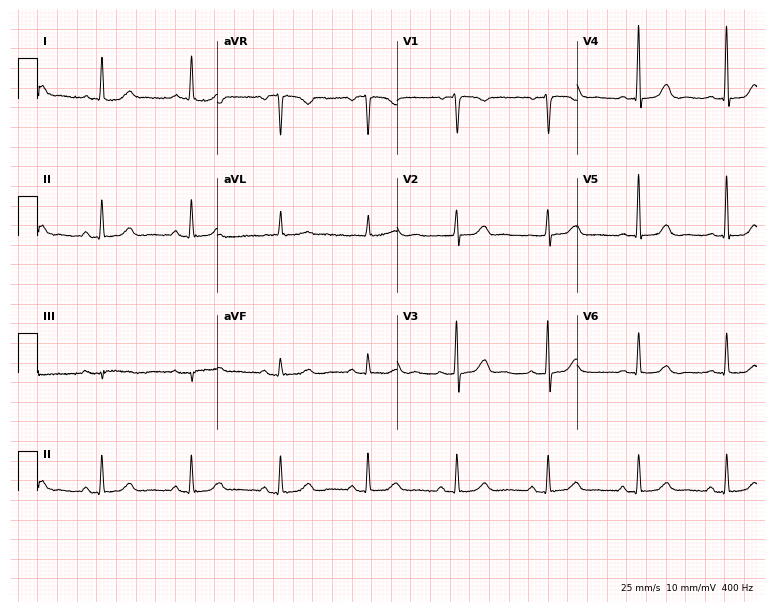
Electrocardiogram, a 60-year-old female. Overall reading on record: normal ECG.